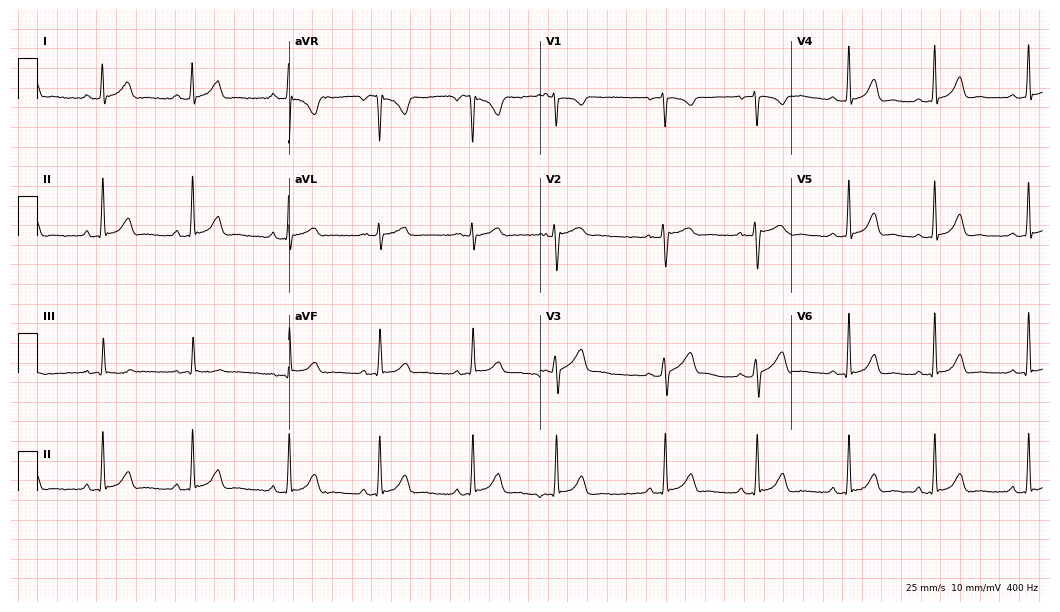
Resting 12-lead electrocardiogram. Patient: a female, 21 years old. Read as a normal ECG.